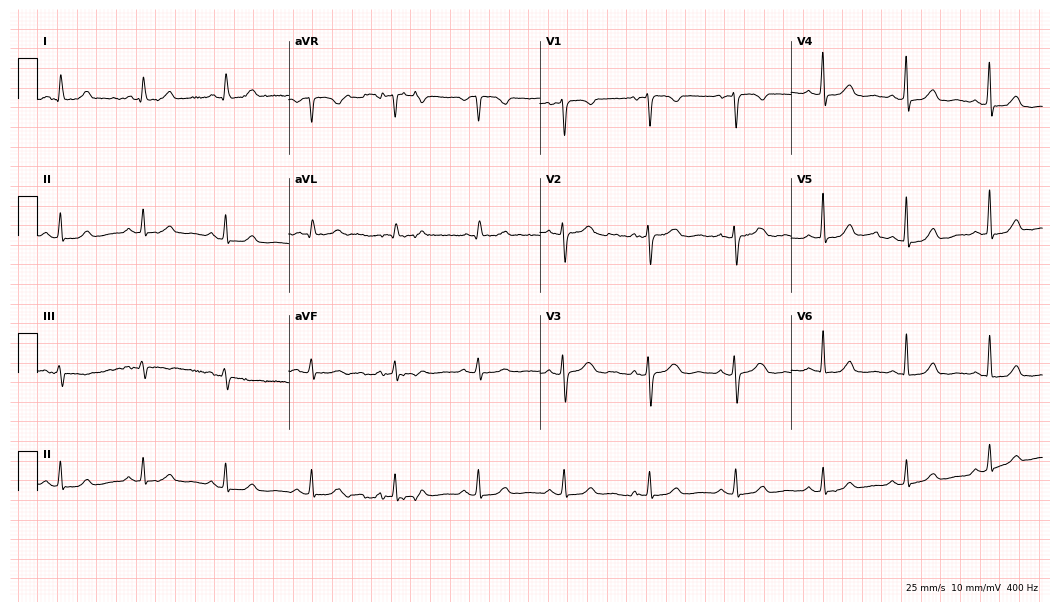
12-lead ECG from a 42-year-old woman. Labelled as a normal ECG.